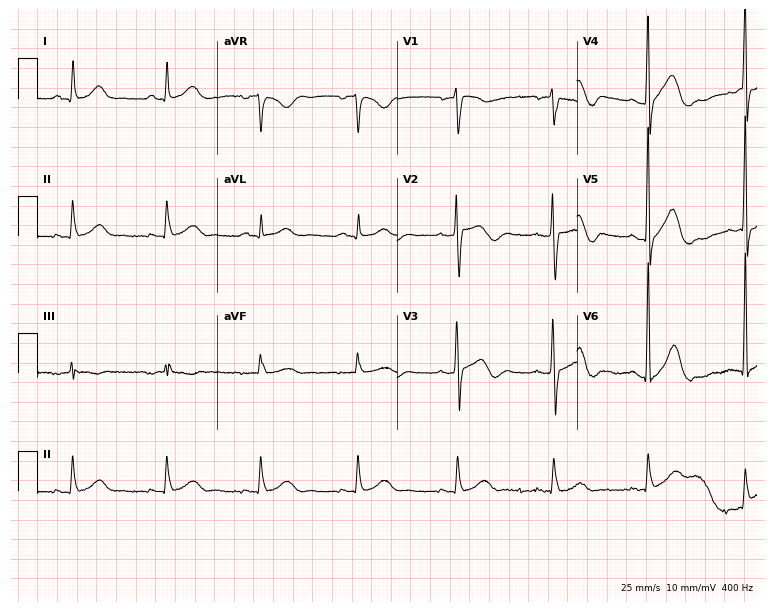
12-lead ECG from a 76-year-old woman. Labelled as a normal ECG.